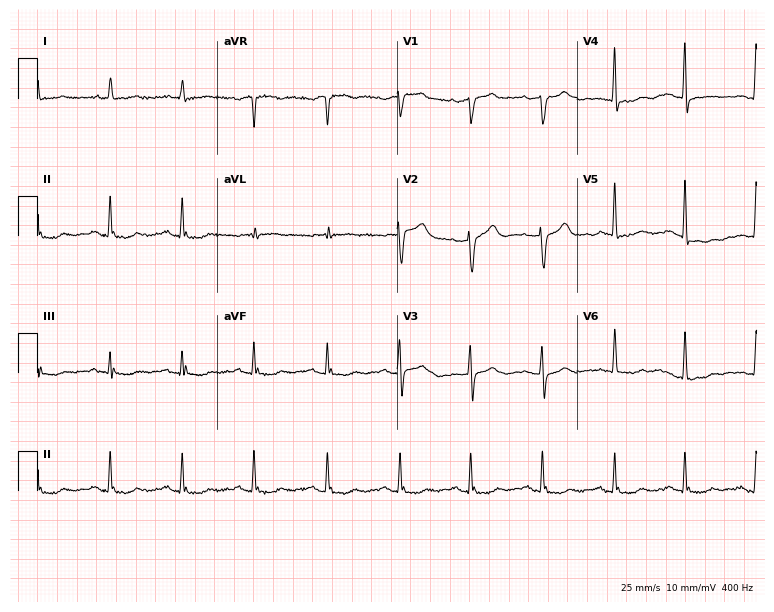
Electrocardiogram (7.3-second recording at 400 Hz), a 66-year-old man. Of the six screened findings (first-degree AV block, right bundle branch block (RBBB), left bundle branch block (LBBB), sinus bradycardia, atrial fibrillation (AF), sinus tachycardia), none is recorded. Only these six findings were labelled.